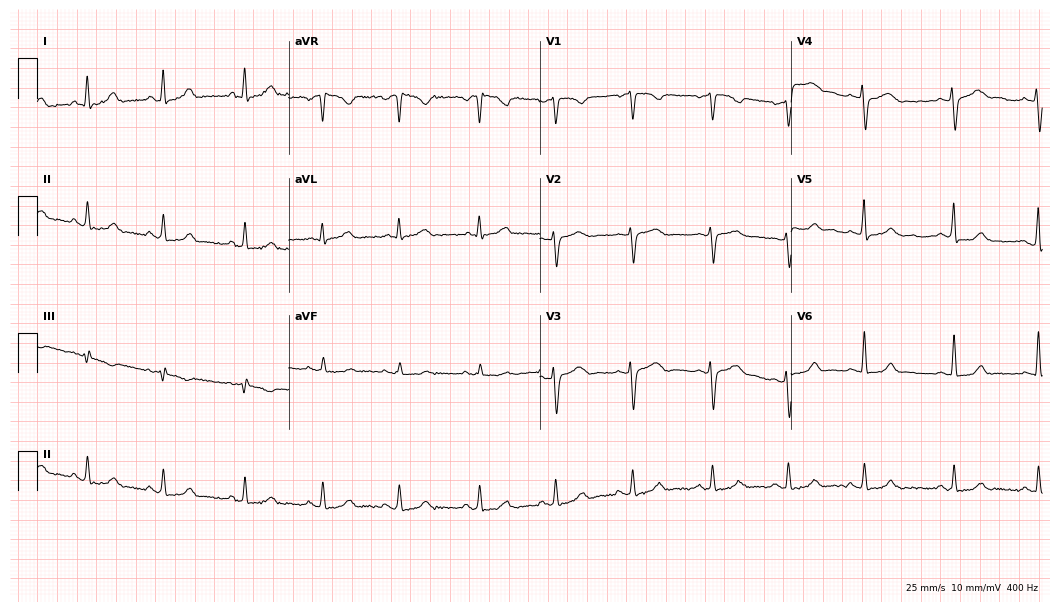
Resting 12-lead electrocardiogram (10.2-second recording at 400 Hz). Patient: a 35-year-old woman. Read as a normal ECG.